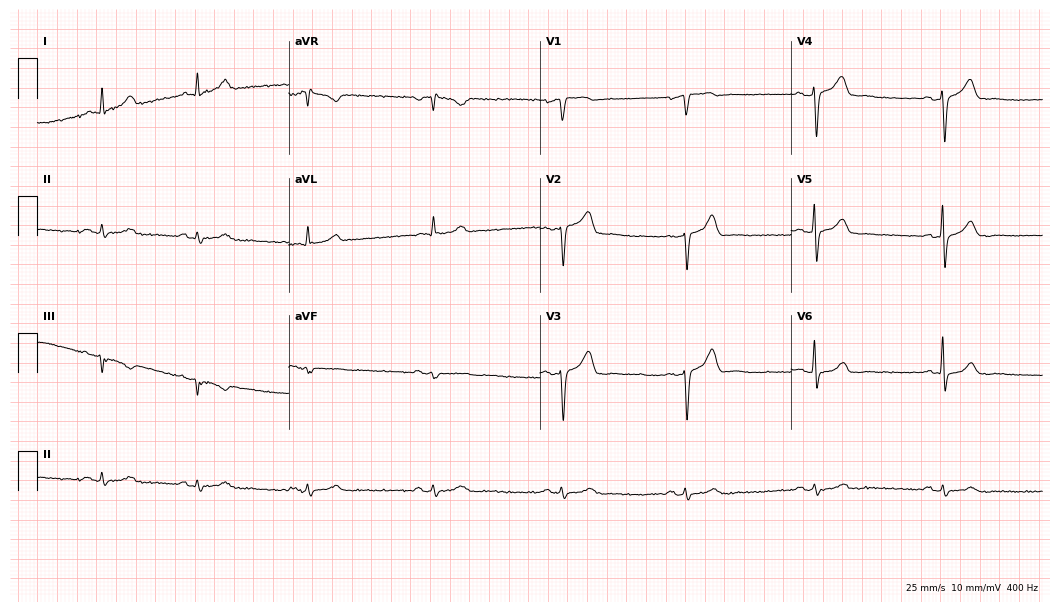
12-lead ECG (10.2-second recording at 400 Hz) from a 63-year-old male. Screened for six findings — first-degree AV block, right bundle branch block, left bundle branch block, sinus bradycardia, atrial fibrillation, sinus tachycardia — none is recorded.